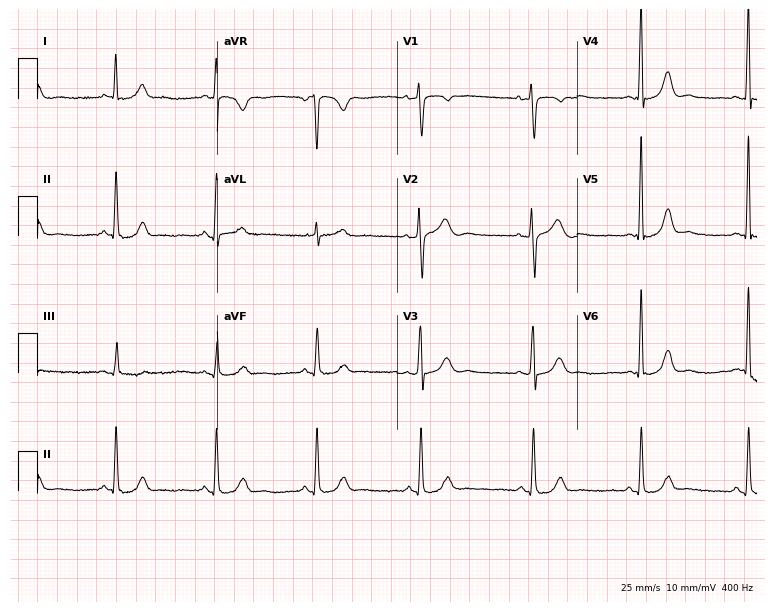
Standard 12-lead ECG recorded from a 47-year-old woman. Read as a normal ECG.